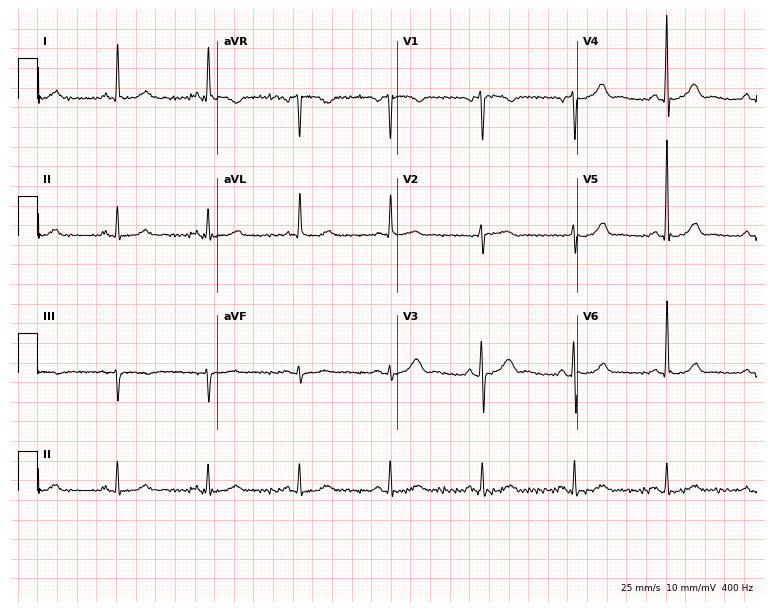
Resting 12-lead electrocardiogram (7.3-second recording at 400 Hz). Patient: an 84-year-old man. Read as a normal ECG.